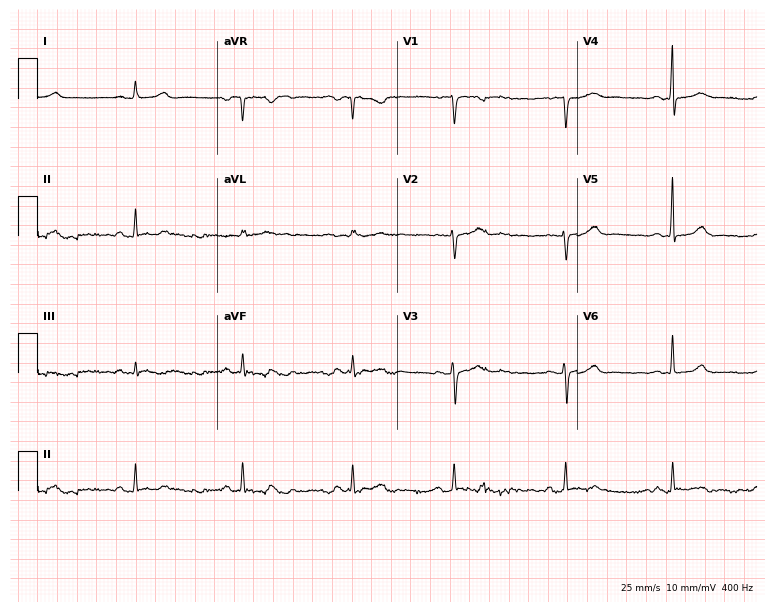
ECG — a woman, 36 years old. Screened for six findings — first-degree AV block, right bundle branch block, left bundle branch block, sinus bradycardia, atrial fibrillation, sinus tachycardia — none is recorded.